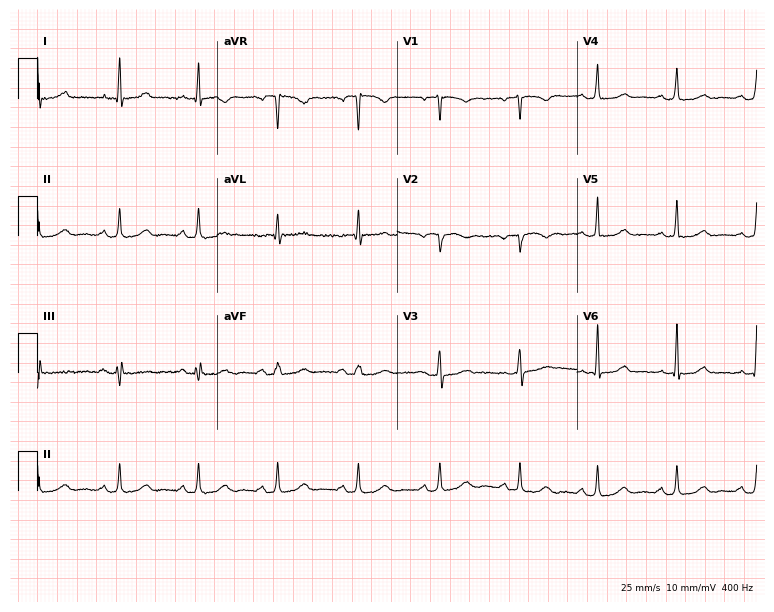
Resting 12-lead electrocardiogram (7.3-second recording at 400 Hz). Patient: a 54-year-old female. Read as a normal ECG.